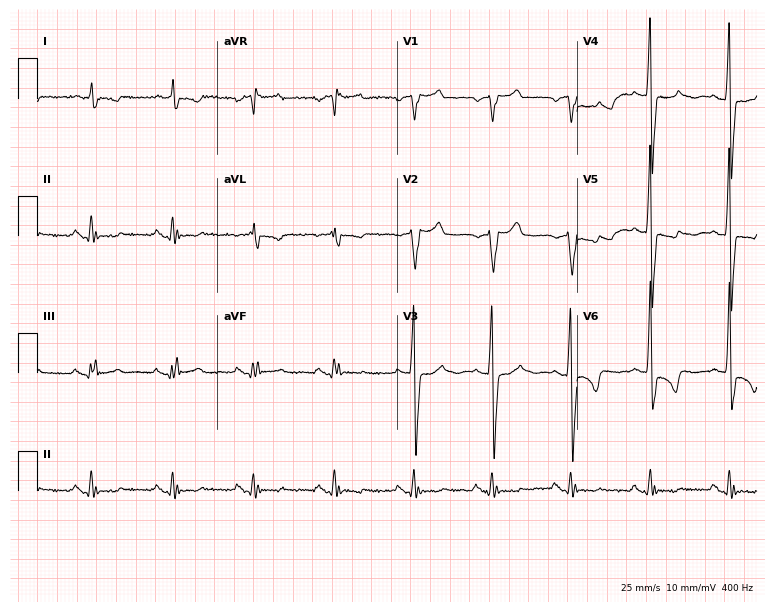
12-lead ECG from a 63-year-old male. No first-degree AV block, right bundle branch block, left bundle branch block, sinus bradycardia, atrial fibrillation or sinus tachycardia recorded for this tracing. Only these six findings were labelled.